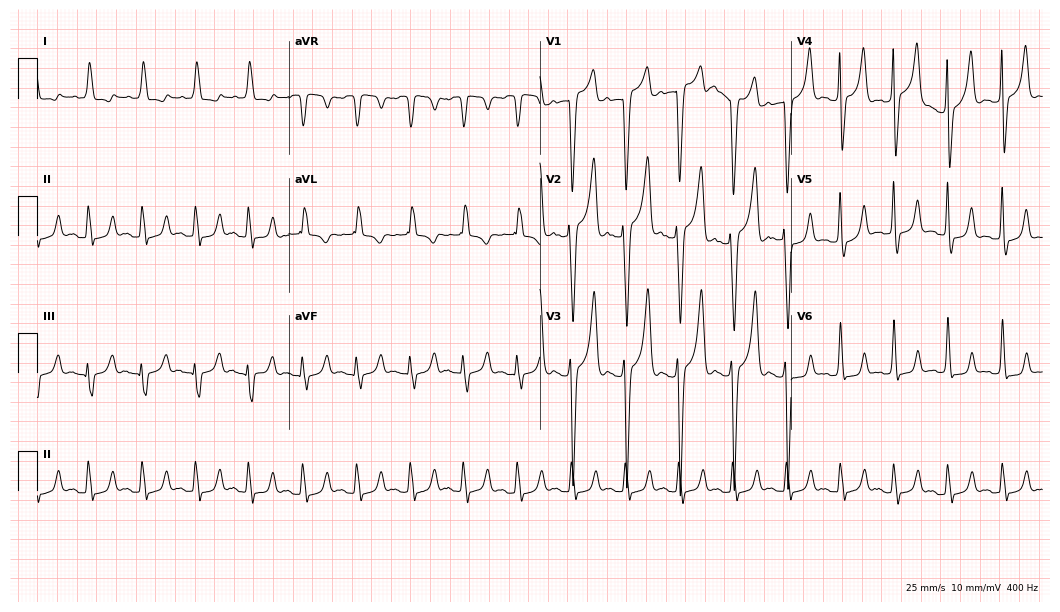
12-lead ECG (10.2-second recording at 400 Hz) from a 53-year-old female. Screened for six findings — first-degree AV block, right bundle branch block (RBBB), left bundle branch block (LBBB), sinus bradycardia, atrial fibrillation (AF), sinus tachycardia — none is recorded.